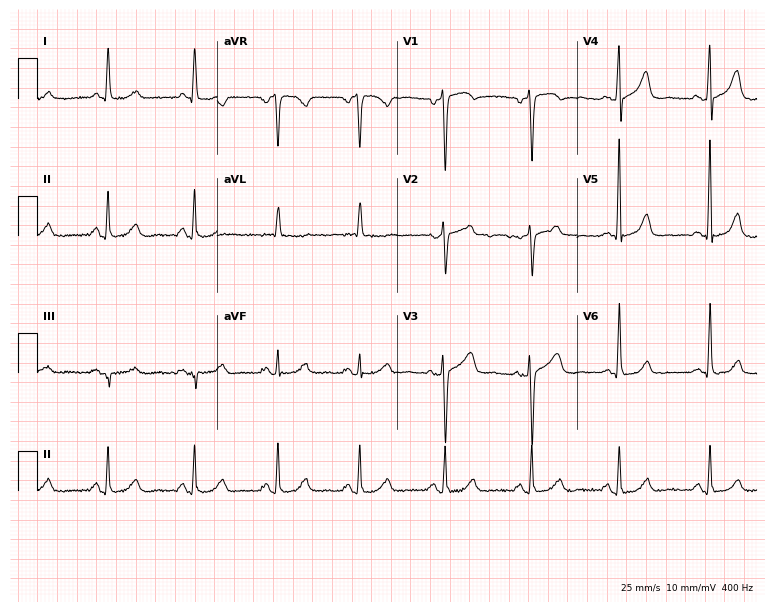
Standard 12-lead ECG recorded from a 70-year-old female patient. Read as a normal ECG.